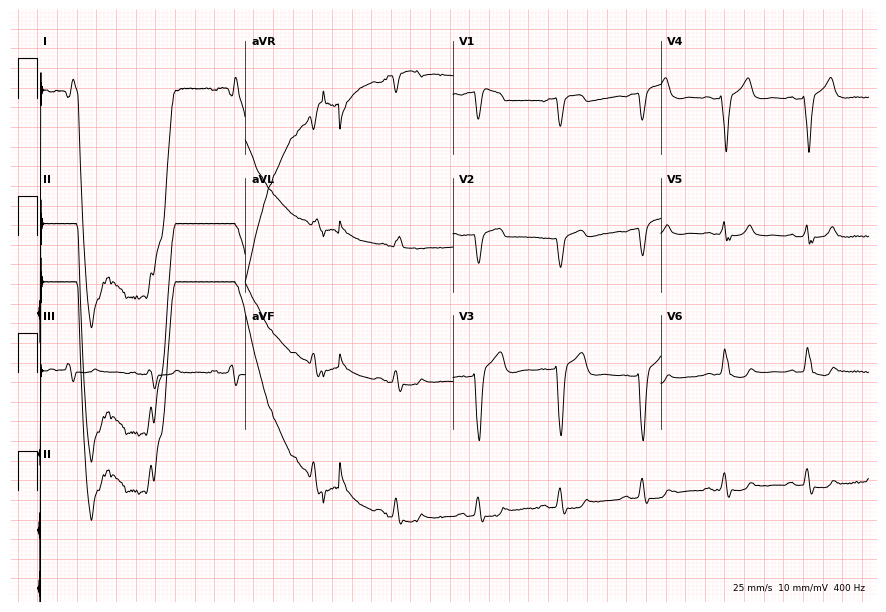
Electrocardiogram (8.5-second recording at 400 Hz), a man, 73 years old. Of the six screened findings (first-degree AV block, right bundle branch block, left bundle branch block, sinus bradycardia, atrial fibrillation, sinus tachycardia), none is recorded. Other findings, if any, are not listed.